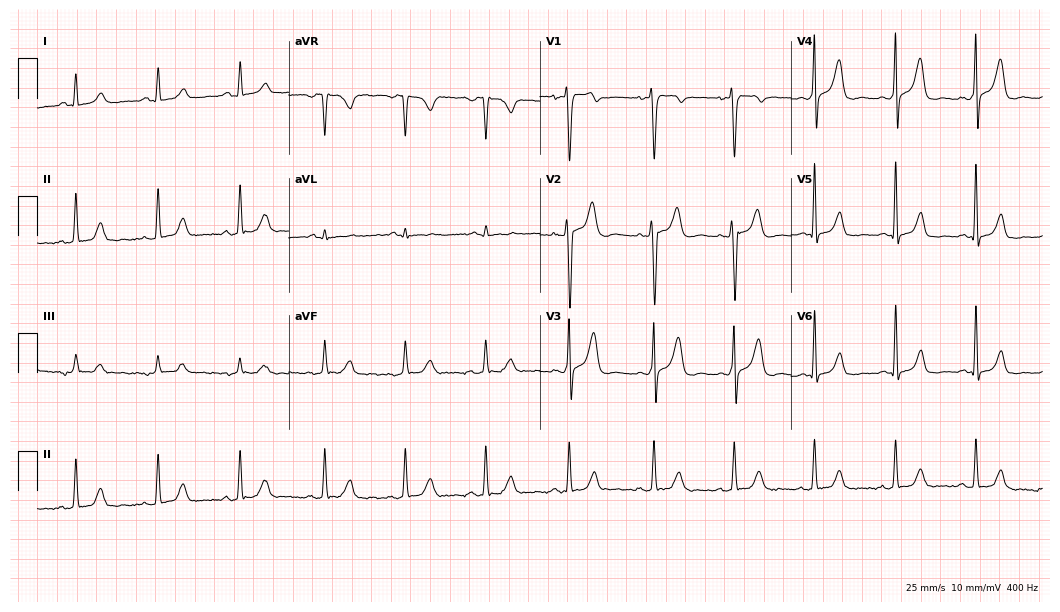
Resting 12-lead electrocardiogram (10.2-second recording at 400 Hz). Patient: a 39-year-old male. None of these six findings is recorded: first-degree AV block, right bundle branch block (RBBB), left bundle branch block (LBBB), sinus bradycardia, atrial fibrillation (AF), sinus tachycardia.